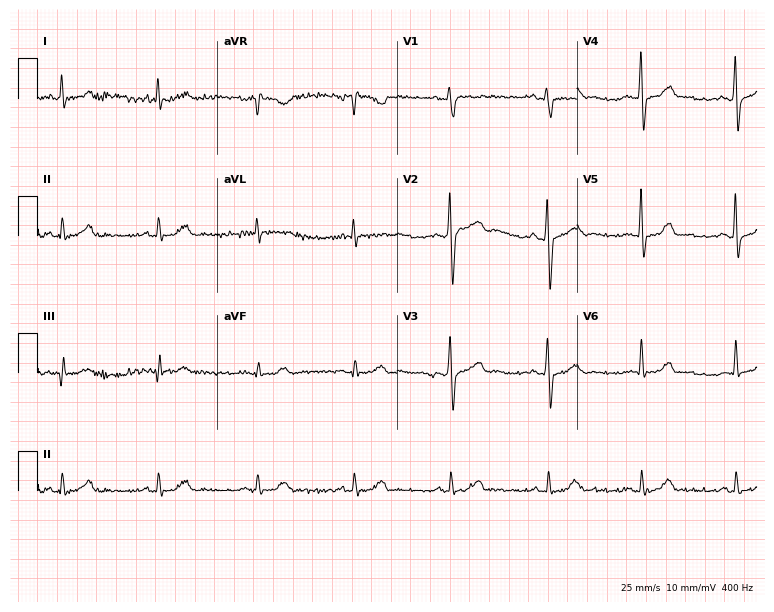
12-lead ECG from a 42-year-old male patient (7.3-second recording at 400 Hz). No first-degree AV block, right bundle branch block, left bundle branch block, sinus bradycardia, atrial fibrillation or sinus tachycardia recorded for this tracing.